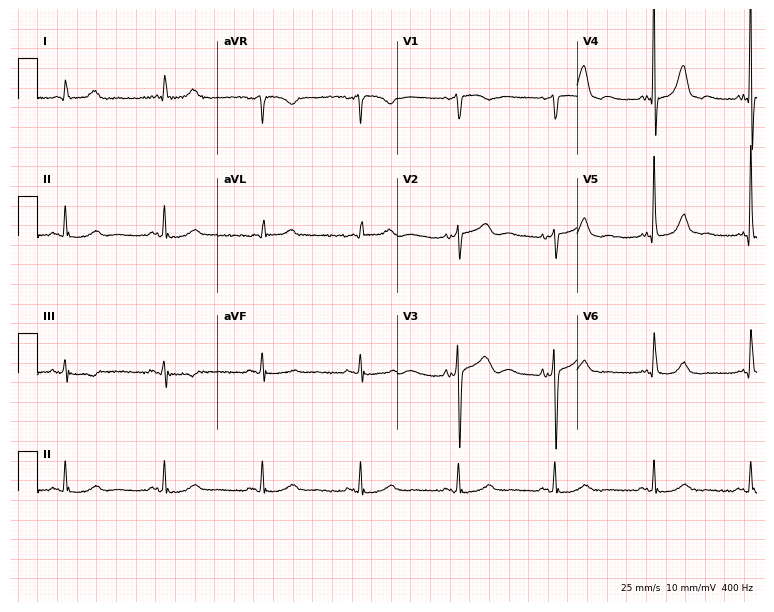
ECG (7.3-second recording at 400 Hz) — a 77-year-old female. Labelled as a normal ECG.